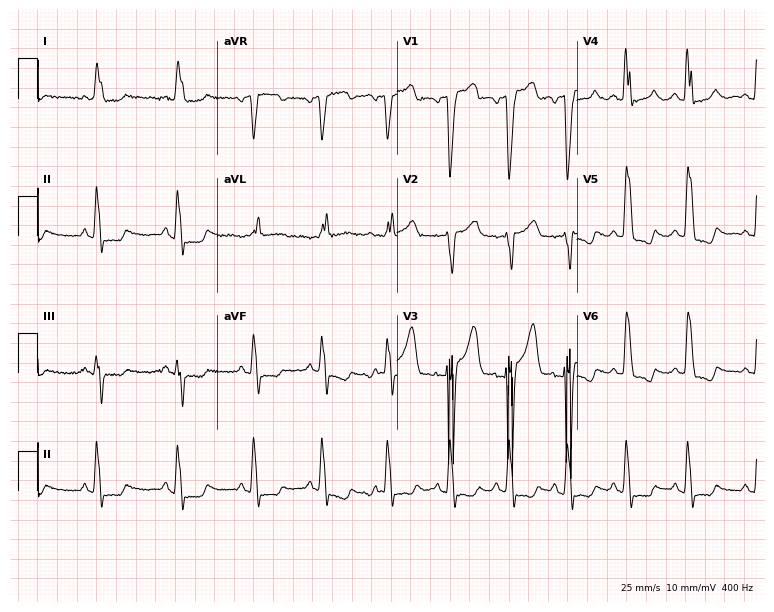
12-lead ECG (7.3-second recording at 400 Hz) from a female, 78 years old. Findings include left bundle branch block.